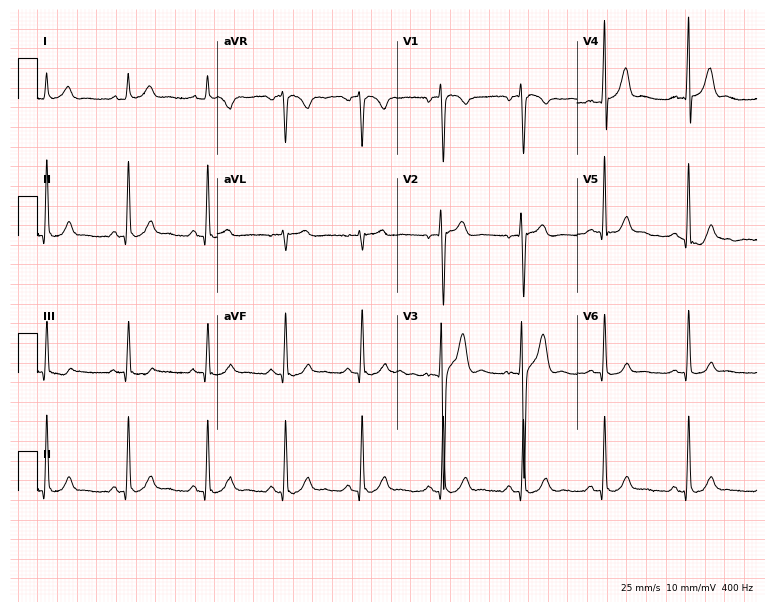
Standard 12-lead ECG recorded from an 18-year-old male (7.3-second recording at 400 Hz). None of these six findings is recorded: first-degree AV block, right bundle branch block, left bundle branch block, sinus bradycardia, atrial fibrillation, sinus tachycardia. Findings outside these six are not listed.